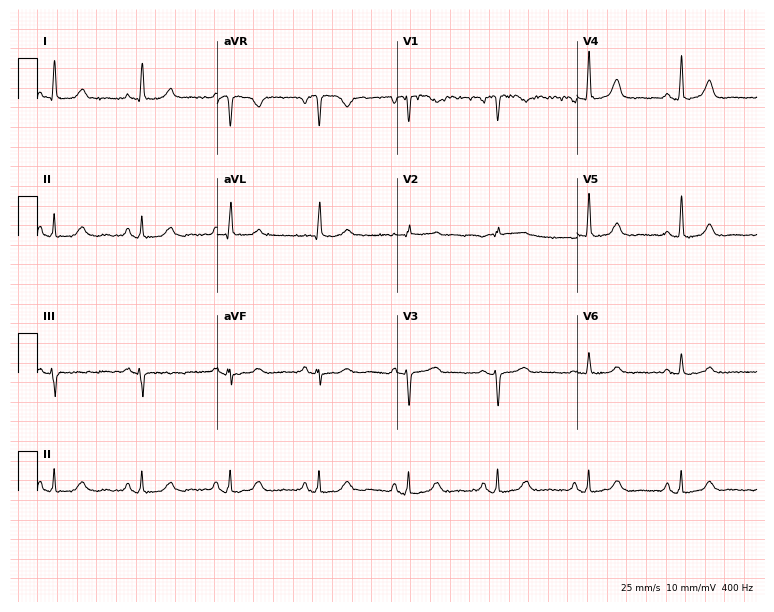
Resting 12-lead electrocardiogram. Patient: a female, 64 years old. Read as a normal ECG.